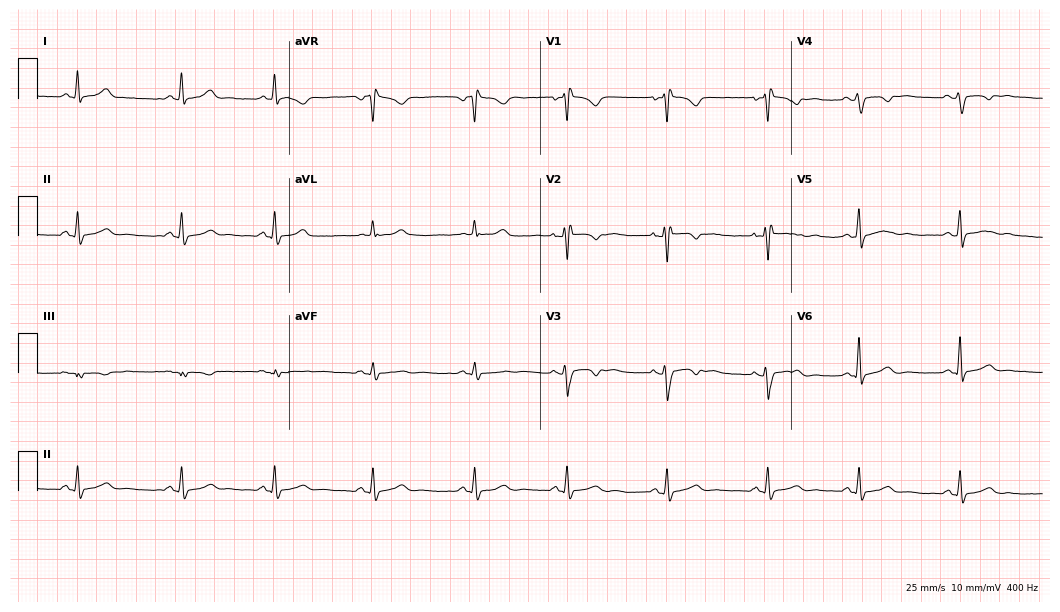
Electrocardiogram, a 38-year-old female. Of the six screened findings (first-degree AV block, right bundle branch block, left bundle branch block, sinus bradycardia, atrial fibrillation, sinus tachycardia), none is recorded.